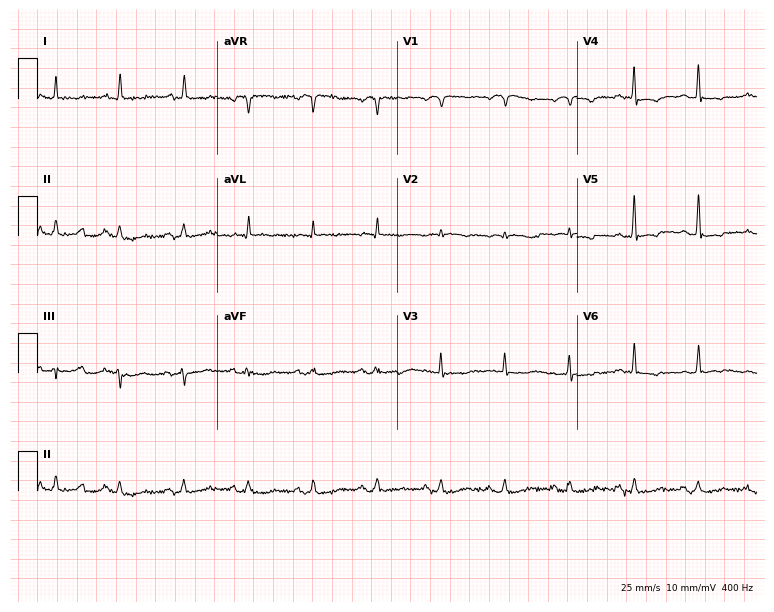
Standard 12-lead ECG recorded from a 73-year-old male patient. None of these six findings is recorded: first-degree AV block, right bundle branch block, left bundle branch block, sinus bradycardia, atrial fibrillation, sinus tachycardia. Other findings, if any, are not listed.